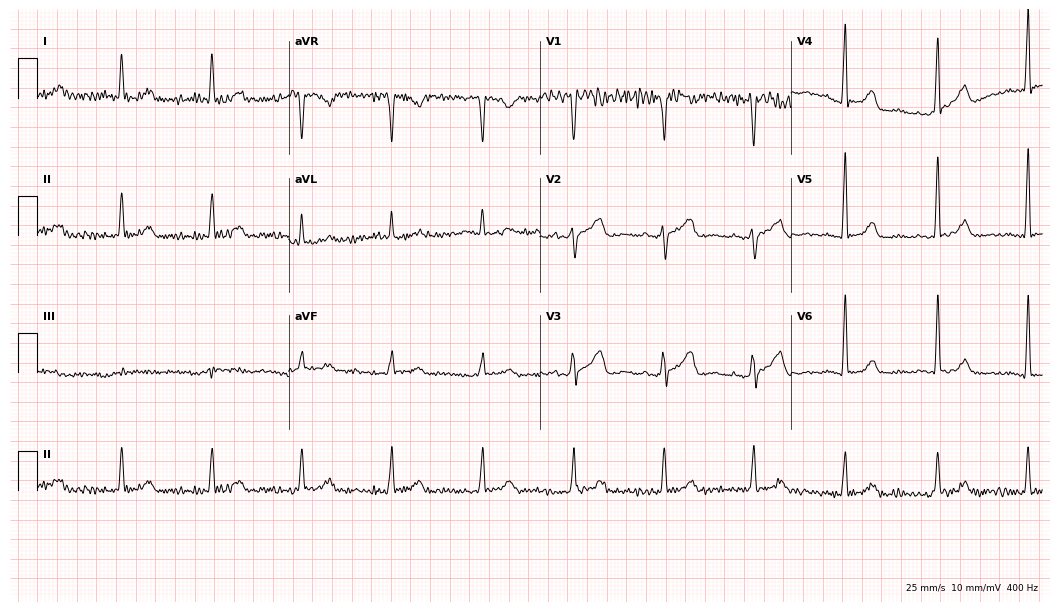
12-lead ECG from a 59-year-old man. No first-degree AV block, right bundle branch block, left bundle branch block, sinus bradycardia, atrial fibrillation or sinus tachycardia recorded for this tracing.